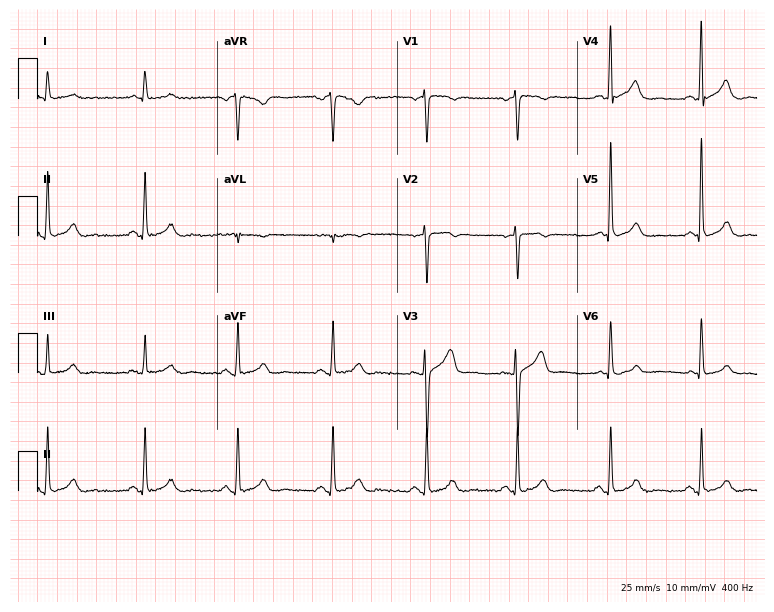
Resting 12-lead electrocardiogram. Patient: a man, 76 years old. None of these six findings is recorded: first-degree AV block, right bundle branch block, left bundle branch block, sinus bradycardia, atrial fibrillation, sinus tachycardia. Only these six findings were labelled.